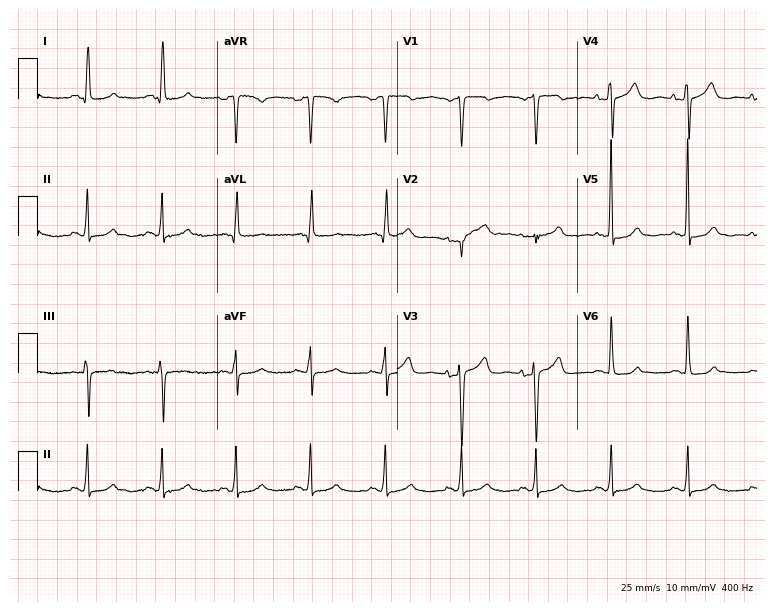
Resting 12-lead electrocardiogram (7.3-second recording at 400 Hz). Patient: a woman, 68 years old. None of these six findings is recorded: first-degree AV block, right bundle branch block (RBBB), left bundle branch block (LBBB), sinus bradycardia, atrial fibrillation (AF), sinus tachycardia.